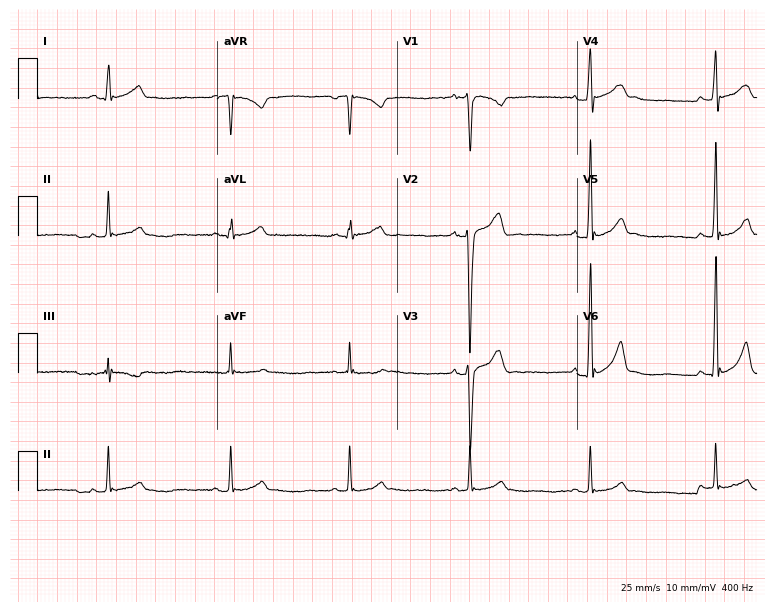
Standard 12-lead ECG recorded from a male, 30 years old (7.3-second recording at 400 Hz). None of these six findings is recorded: first-degree AV block, right bundle branch block, left bundle branch block, sinus bradycardia, atrial fibrillation, sinus tachycardia. Other findings, if any, are not listed.